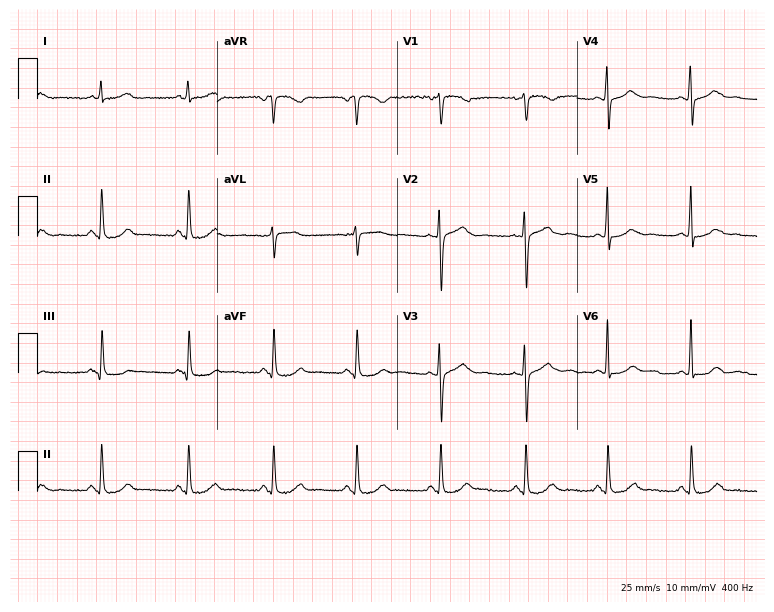
12-lead ECG (7.3-second recording at 400 Hz) from a 43-year-old female patient. Screened for six findings — first-degree AV block, right bundle branch block (RBBB), left bundle branch block (LBBB), sinus bradycardia, atrial fibrillation (AF), sinus tachycardia — none is recorded.